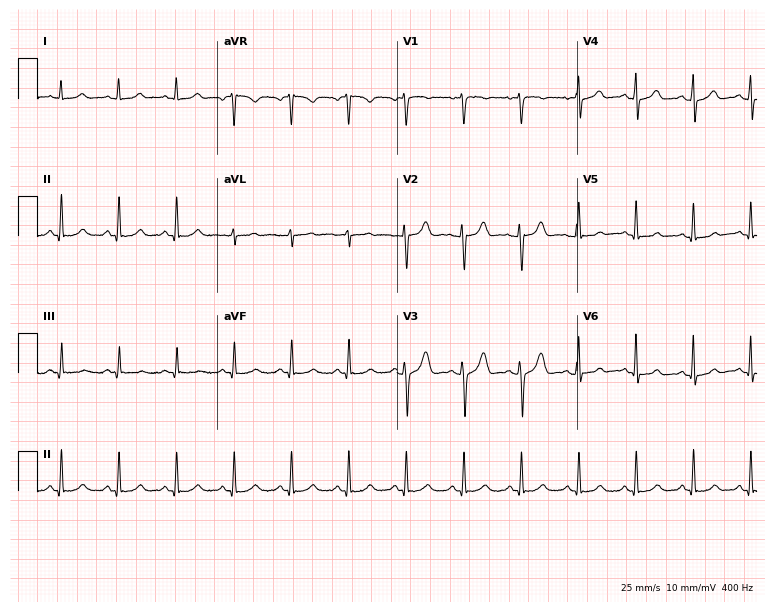
Resting 12-lead electrocardiogram (7.3-second recording at 400 Hz). Patient: a 32-year-old female. The tracing shows sinus tachycardia (a sinus rate of 100 beats per minute or more).